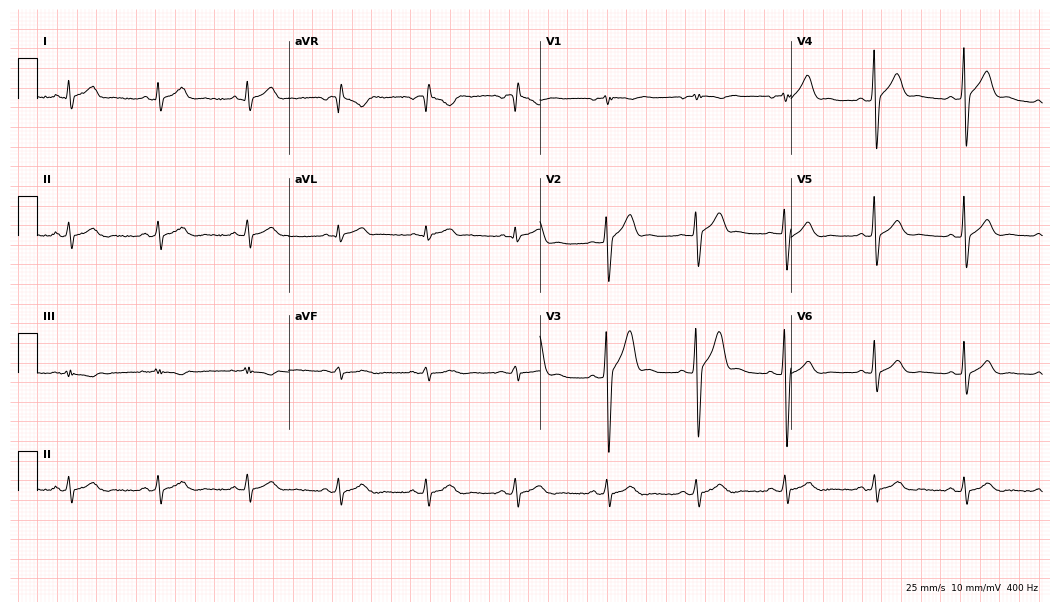
ECG — a man, 24 years old. Labelled as a normal ECG.